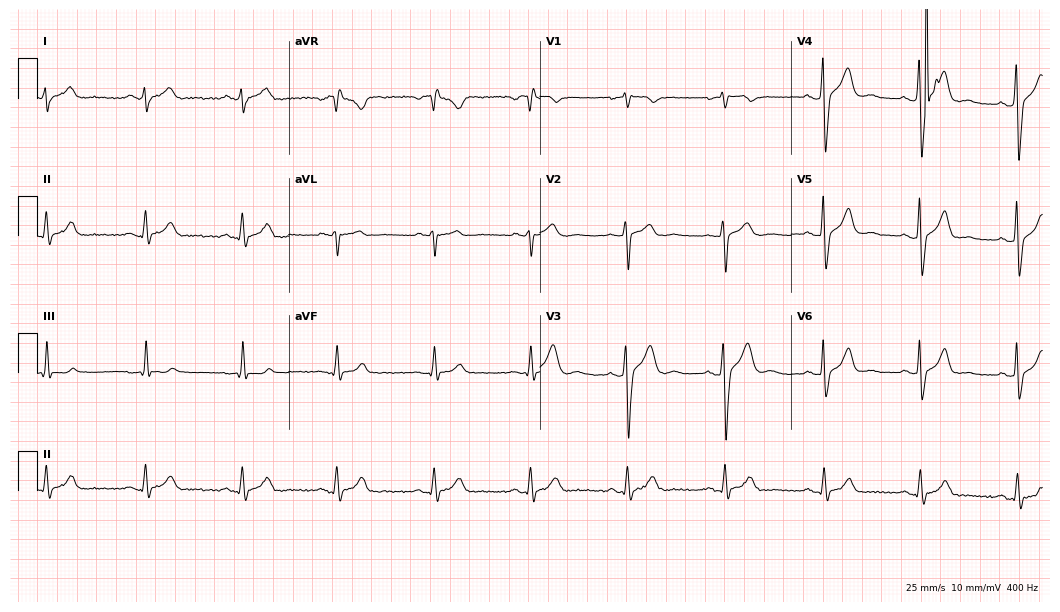
Electrocardiogram (10.2-second recording at 400 Hz), a male, 39 years old. Of the six screened findings (first-degree AV block, right bundle branch block, left bundle branch block, sinus bradycardia, atrial fibrillation, sinus tachycardia), none is recorded.